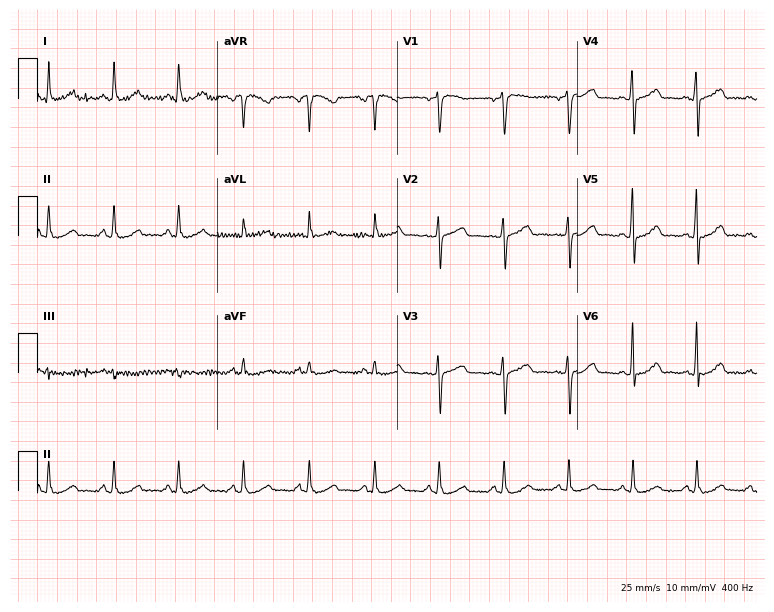
12-lead ECG from a woman, 49 years old (7.3-second recording at 400 Hz). Recorded interpretation: within normal limits.